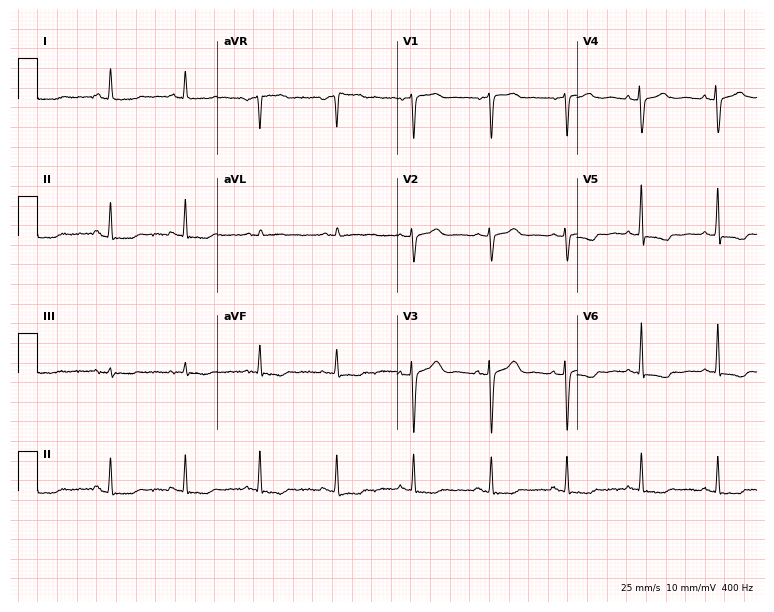
12-lead ECG (7.3-second recording at 400 Hz) from a female patient, 54 years old. Screened for six findings — first-degree AV block, right bundle branch block, left bundle branch block, sinus bradycardia, atrial fibrillation, sinus tachycardia — none is recorded.